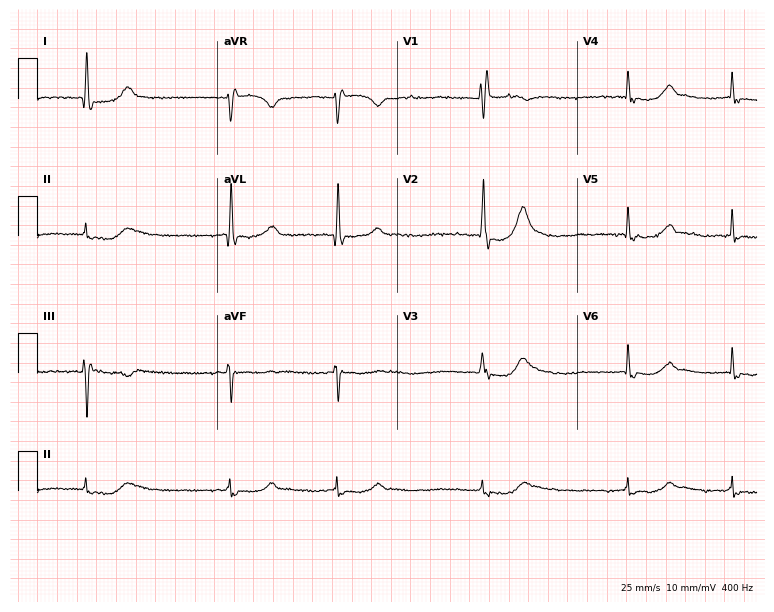
Electrocardiogram, a female patient, 75 years old. Interpretation includes right bundle branch block (RBBB), sinus bradycardia (a sinus rate of 50 beats per minute or less), atrial fibrillation (AF).